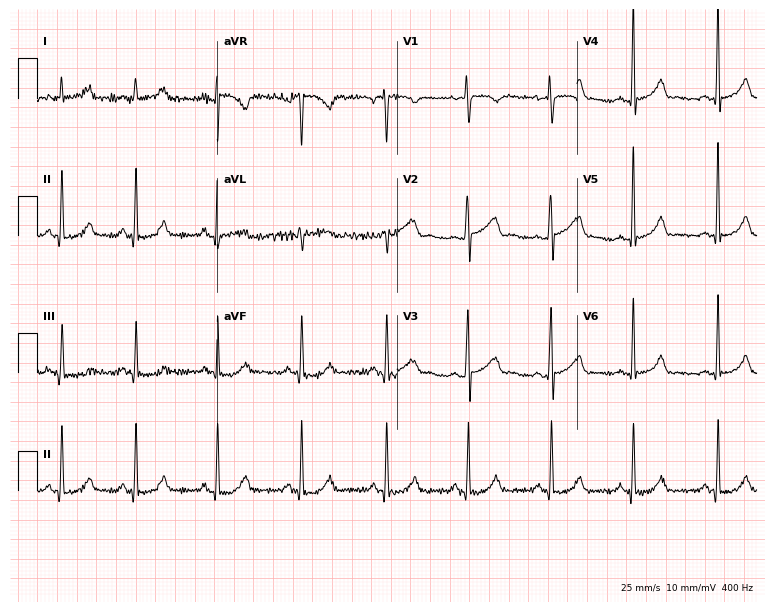
Standard 12-lead ECG recorded from a female, 40 years old (7.3-second recording at 400 Hz). Read as a normal ECG.